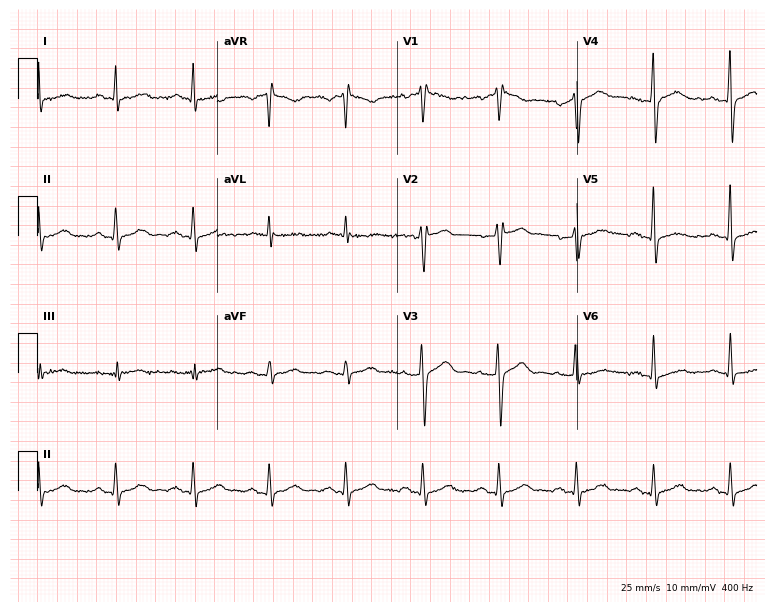
12-lead ECG from a 43-year-old male (7.3-second recording at 400 Hz). No first-degree AV block, right bundle branch block, left bundle branch block, sinus bradycardia, atrial fibrillation or sinus tachycardia recorded for this tracing. Other findings, if any, are not listed.